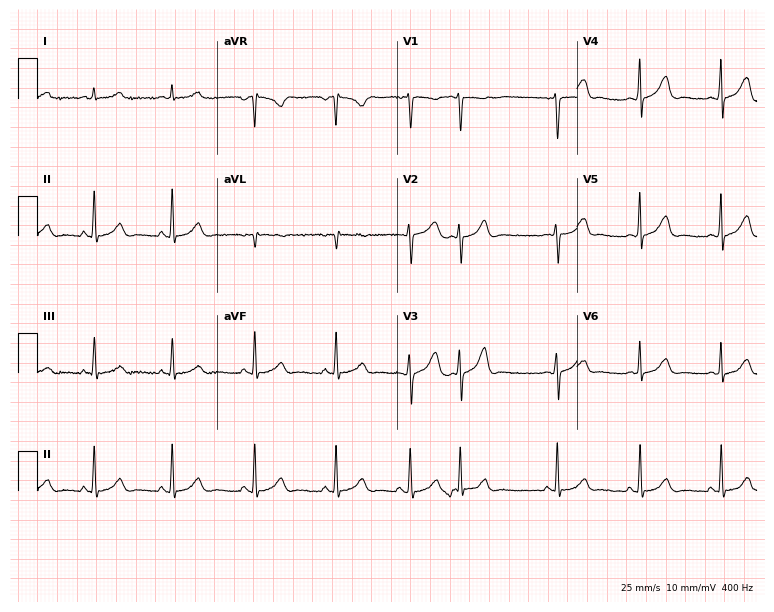
ECG (7.3-second recording at 400 Hz) — a female, 24 years old. Screened for six findings — first-degree AV block, right bundle branch block (RBBB), left bundle branch block (LBBB), sinus bradycardia, atrial fibrillation (AF), sinus tachycardia — none is recorded.